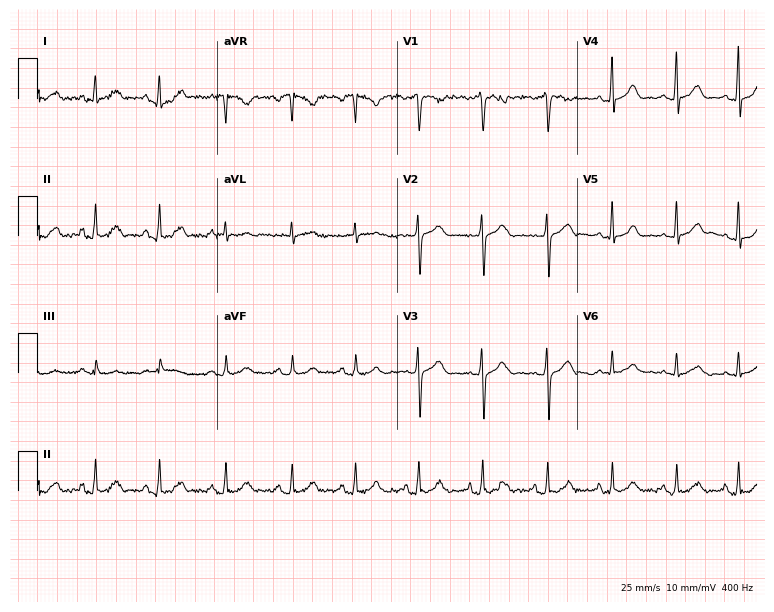
Standard 12-lead ECG recorded from a woman, 45 years old (7.3-second recording at 400 Hz). Read as a normal ECG.